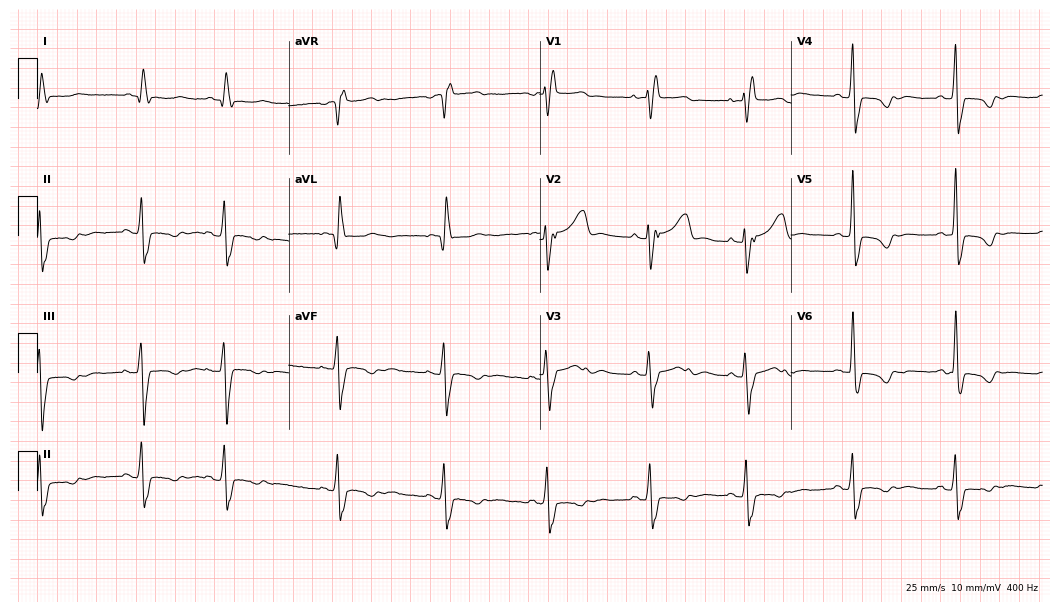
Standard 12-lead ECG recorded from a female patient, 71 years old (10.2-second recording at 400 Hz). The tracing shows right bundle branch block (RBBB).